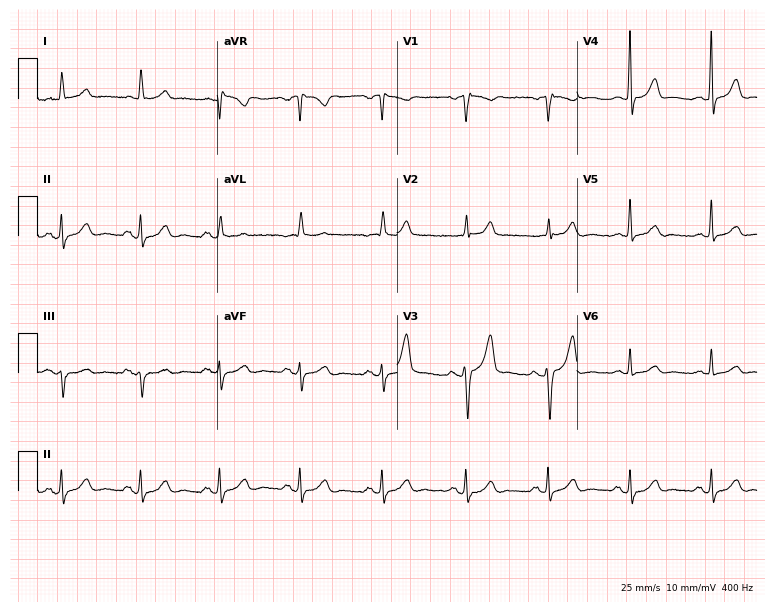
12-lead ECG from a 75-year-old male patient. Labelled as a normal ECG.